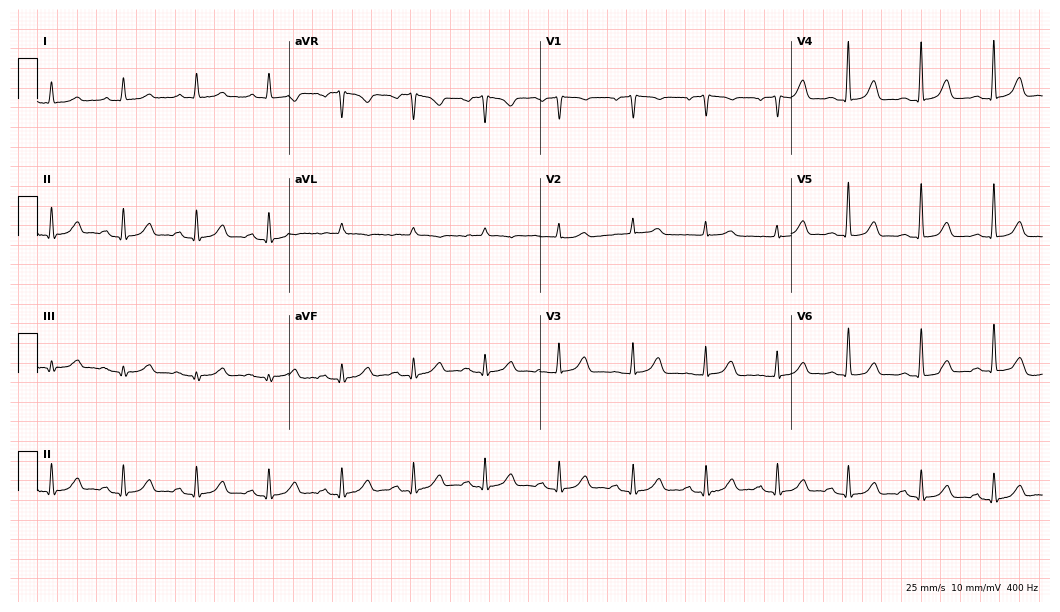
12-lead ECG from a 77-year-old woman. Recorded interpretation: within normal limits.